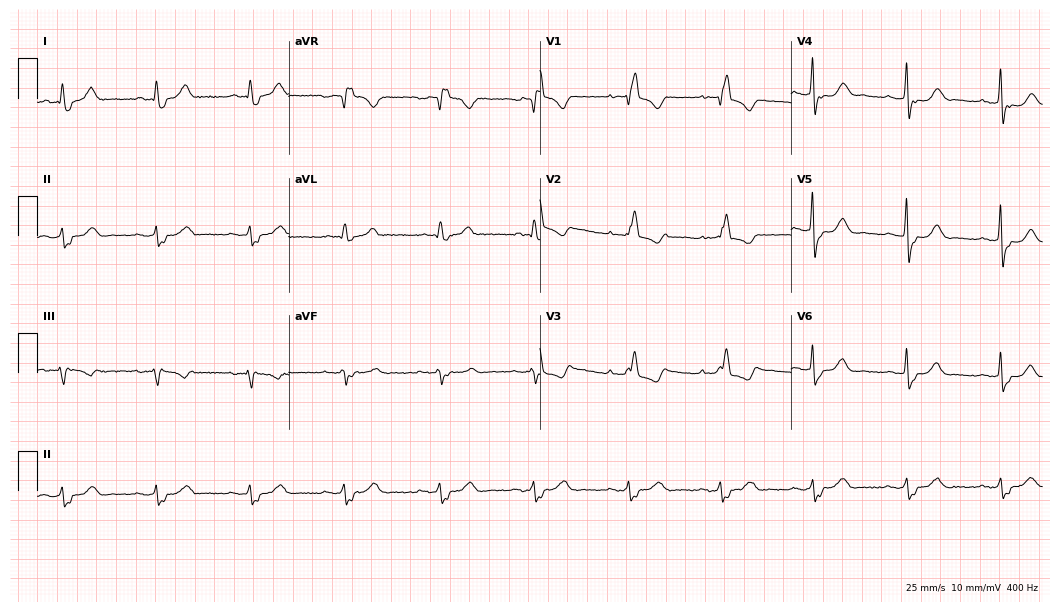
Electrocardiogram, a 64-year-old woman. Interpretation includes right bundle branch block.